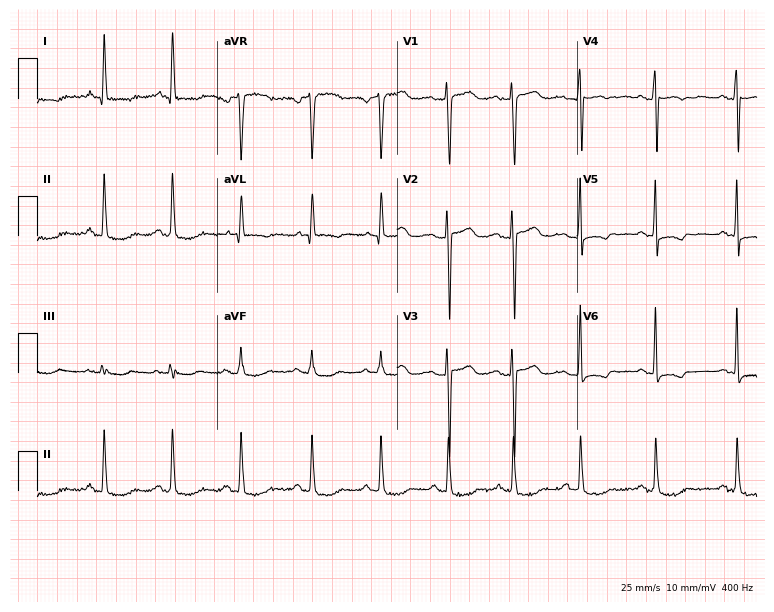
12-lead ECG (7.3-second recording at 400 Hz) from a female, 77 years old. Screened for six findings — first-degree AV block, right bundle branch block, left bundle branch block, sinus bradycardia, atrial fibrillation, sinus tachycardia — none is recorded. Findings outside these six are not listed.